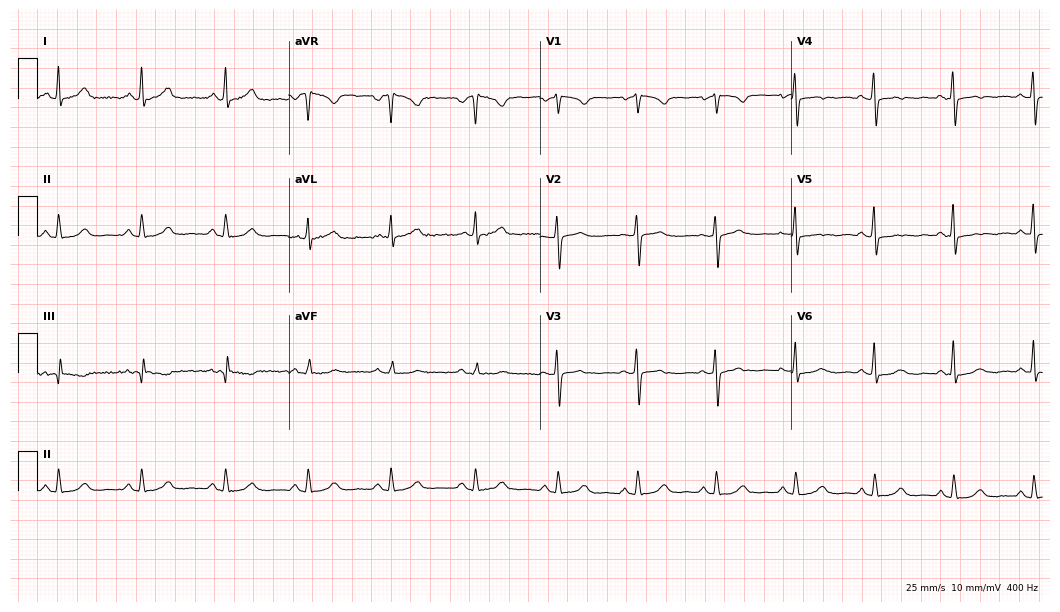
ECG — a 61-year-old woman. Labelled as a normal ECG.